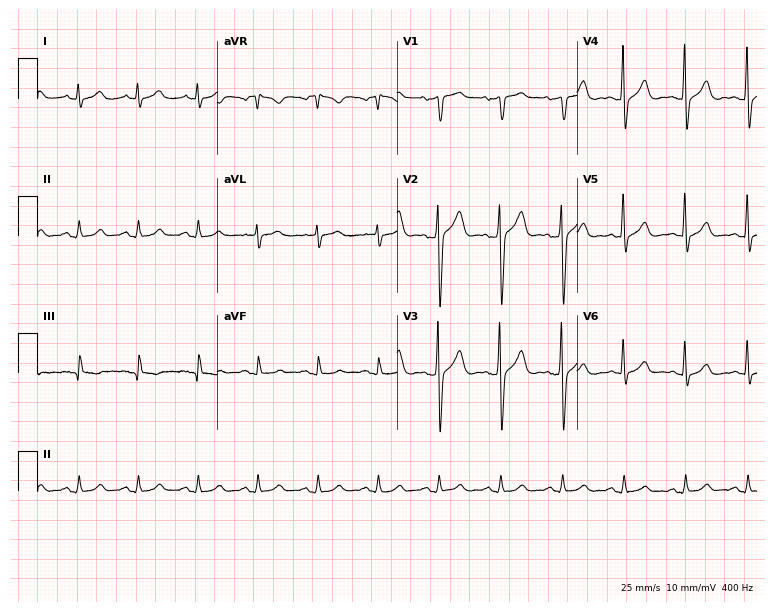
ECG (7.3-second recording at 400 Hz) — a male patient, 52 years old. Labelled as a normal ECG.